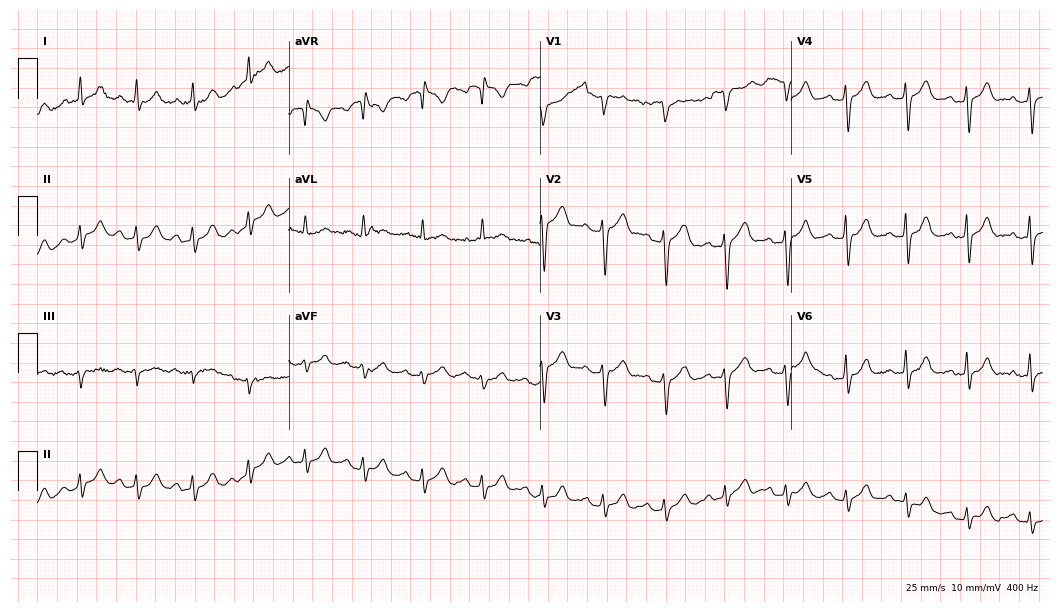
ECG — a 33-year-old man. Findings include sinus tachycardia (a sinus rate of 100 beats per minute or more).